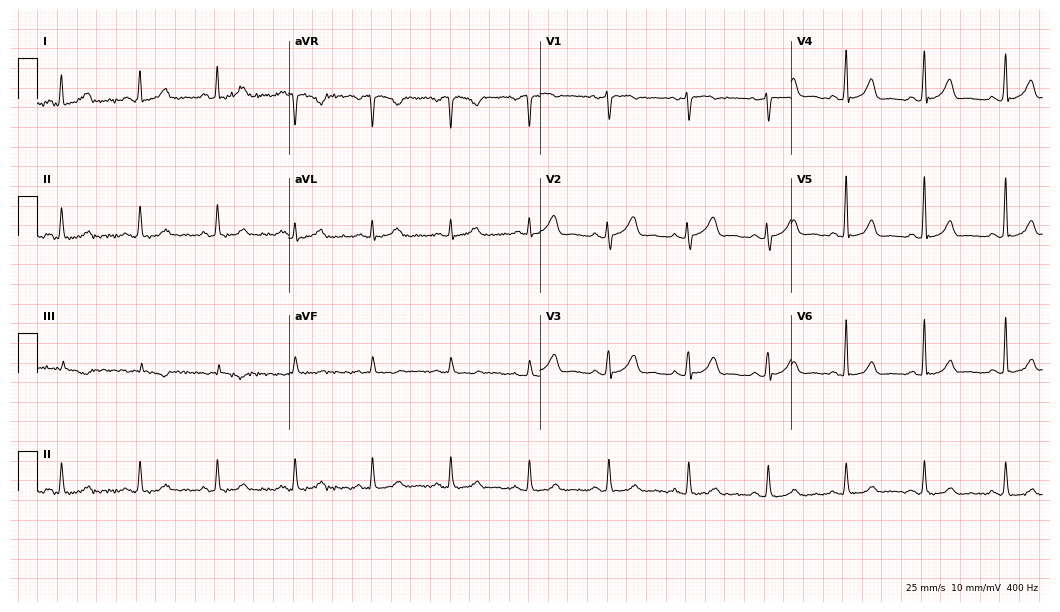
Standard 12-lead ECG recorded from a 39-year-old female patient (10.2-second recording at 400 Hz). Read as a normal ECG.